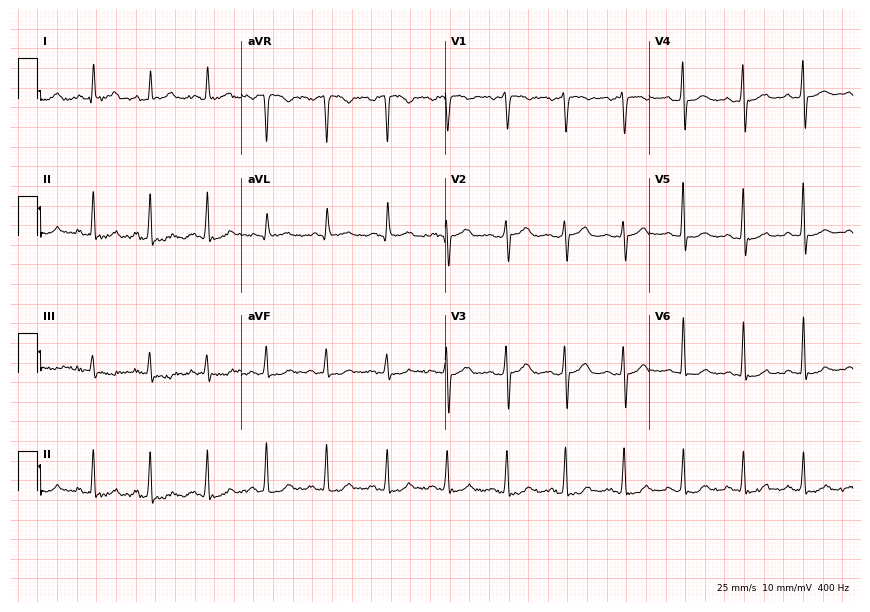
Resting 12-lead electrocardiogram (8.3-second recording at 400 Hz). Patient: a 36-year-old female. Read as a normal ECG.